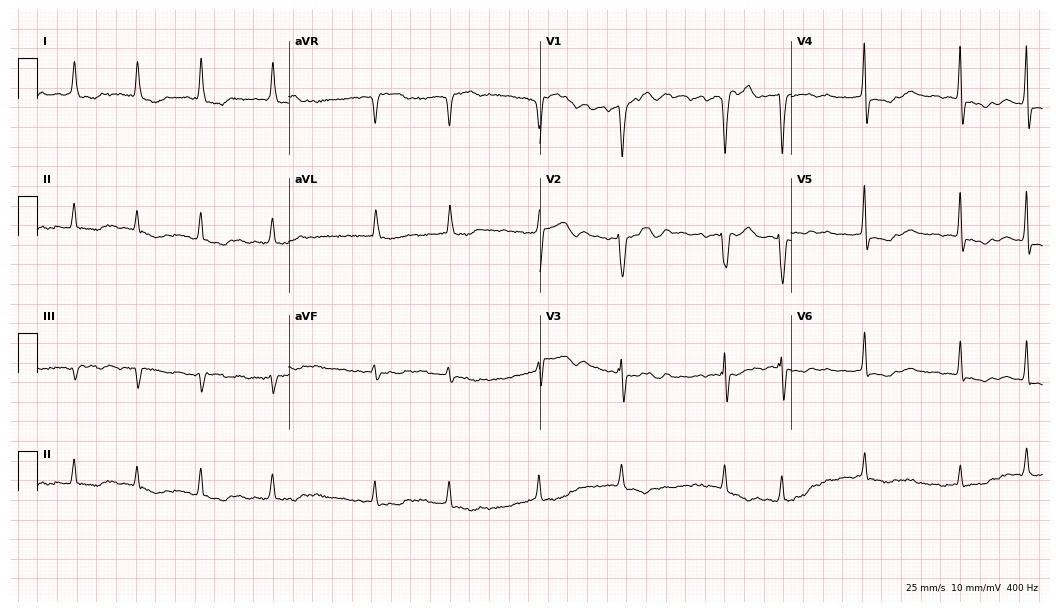
ECG (10.2-second recording at 400 Hz) — a 77-year-old female. Findings include atrial fibrillation.